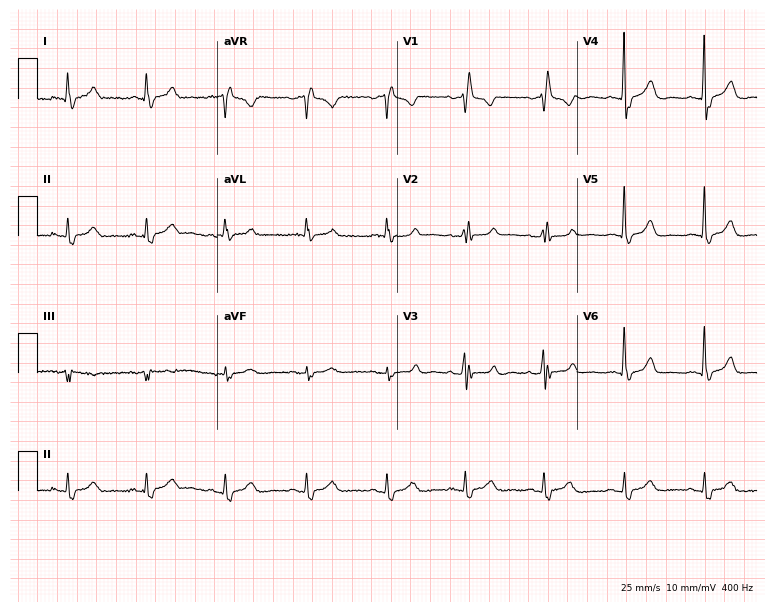
12-lead ECG (7.3-second recording at 400 Hz) from a woman, 81 years old. Screened for six findings — first-degree AV block, right bundle branch block (RBBB), left bundle branch block (LBBB), sinus bradycardia, atrial fibrillation (AF), sinus tachycardia — none is recorded.